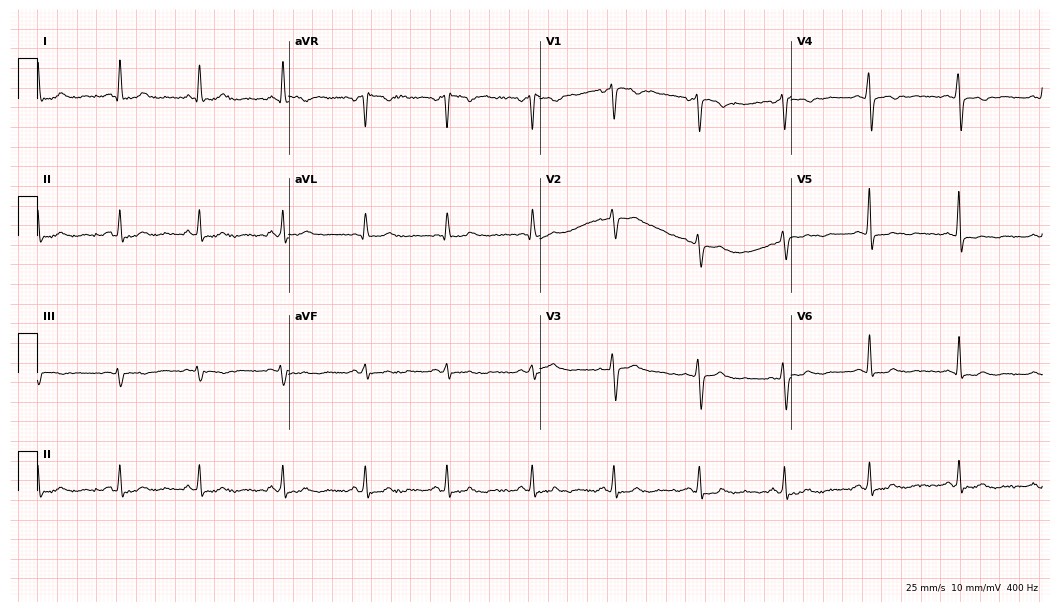
Resting 12-lead electrocardiogram. Patient: a woman, 42 years old. None of these six findings is recorded: first-degree AV block, right bundle branch block, left bundle branch block, sinus bradycardia, atrial fibrillation, sinus tachycardia.